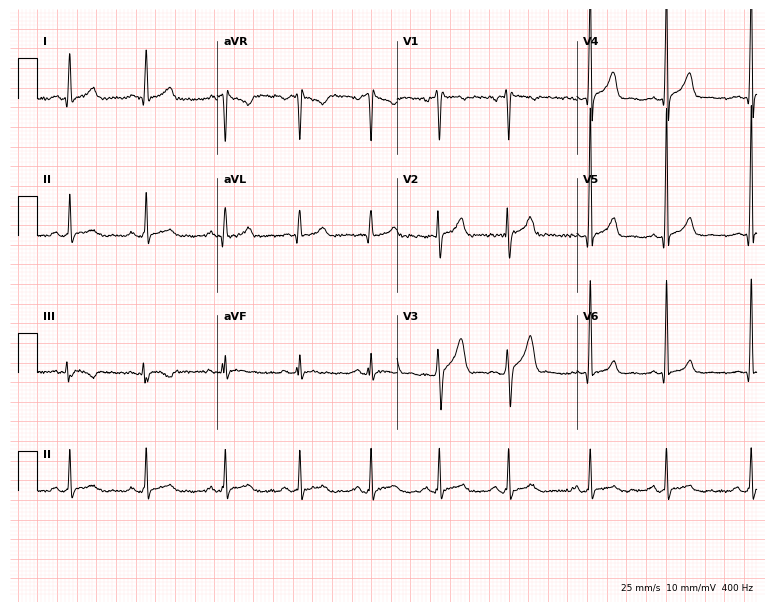
12-lead ECG from a male patient, 26 years old. Recorded interpretation: within normal limits.